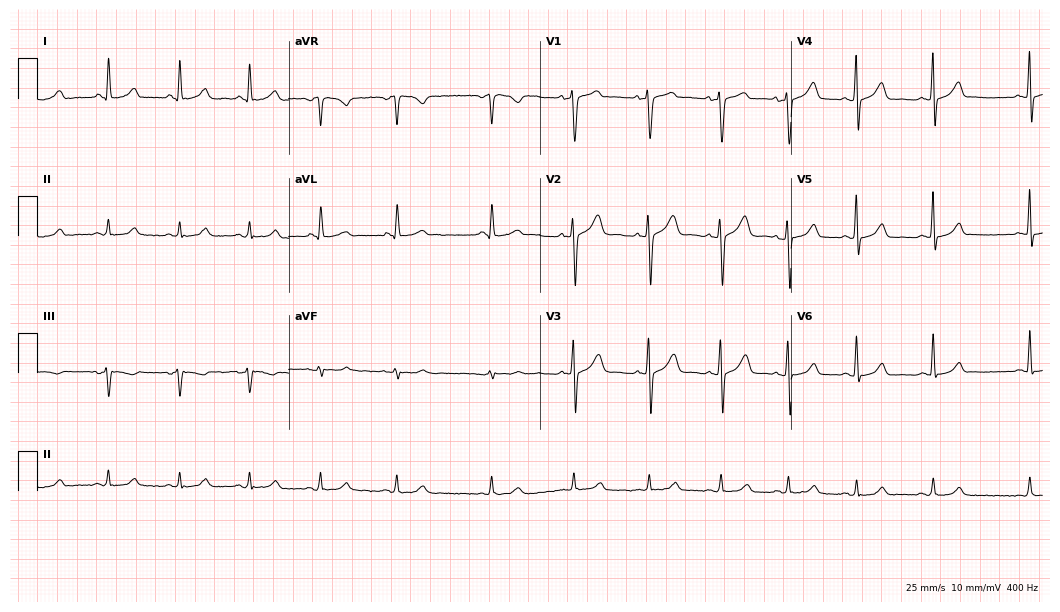
ECG (10.2-second recording at 400 Hz) — a 37-year-old woman. Labelled as a normal ECG.